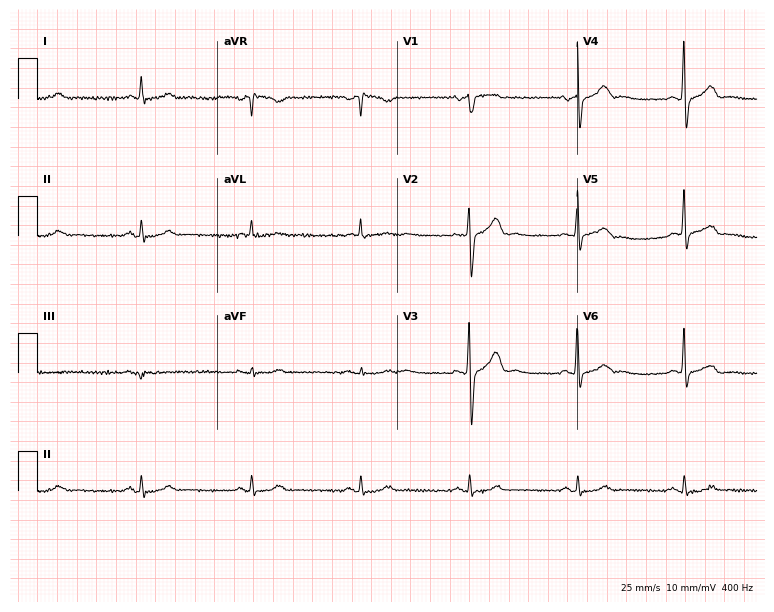
ECG — a 71-year-old male. Labelled as a normal ECG.